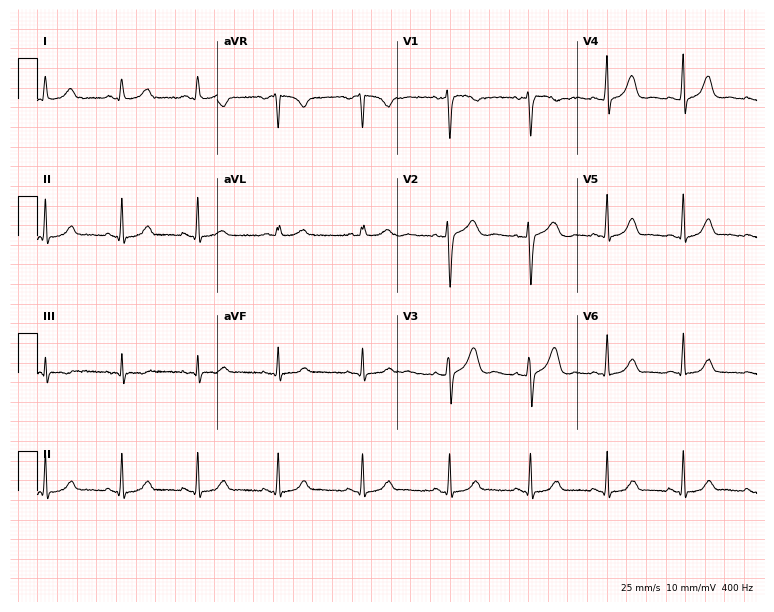
12-lead ECG from a woman, 31 years old. Recorded interpretation: within normal limits.